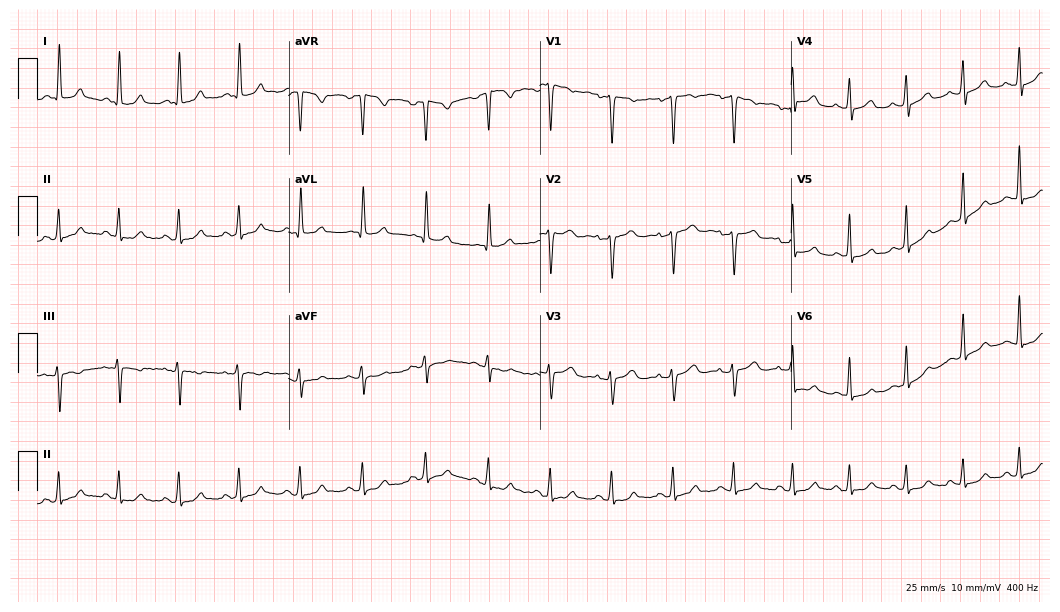
12-lead ECG from a woman, 64 years old. No first-degree AV block, right bundle branch block, left bundle branch block, sinus bradycardia, atrial fibrillation or sinus tachycardia recorded for this tracing. Only these six findings were labelled.